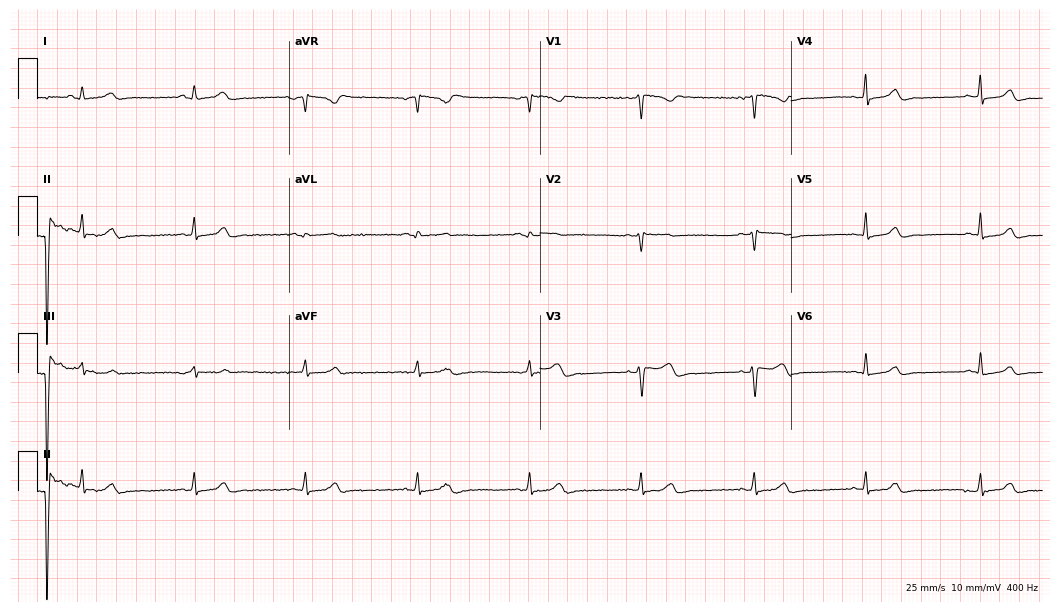
12-lead ECG from a 36-year-old female. Screened for six findings — first-degree AV block, right bundle branch block (RBBB), left bundle branch block (LBBB), sinus bradycardia, atrial fibrillation (AF), sinus tachycardia — none is recorded. Other findings, if any, are not listed.